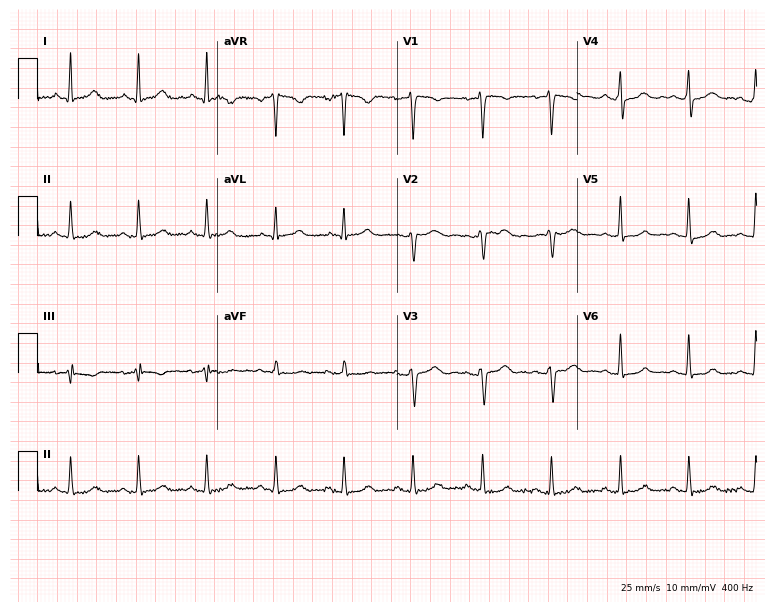
Standard 12-lead ECG recorded from a 45-year-old woman. Read as a normal ECG.